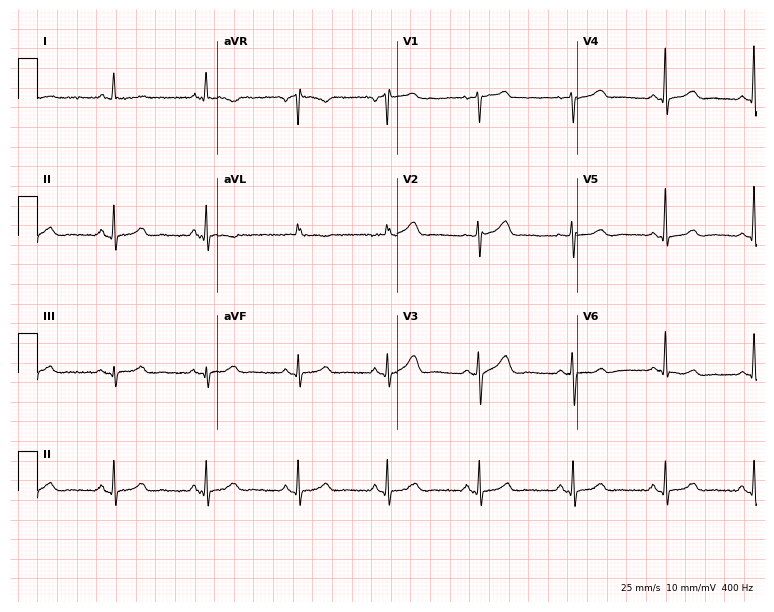
Resting 12-lead electrocardiogram. Patient: a 56-year-old woman. Read as a normal ECG.